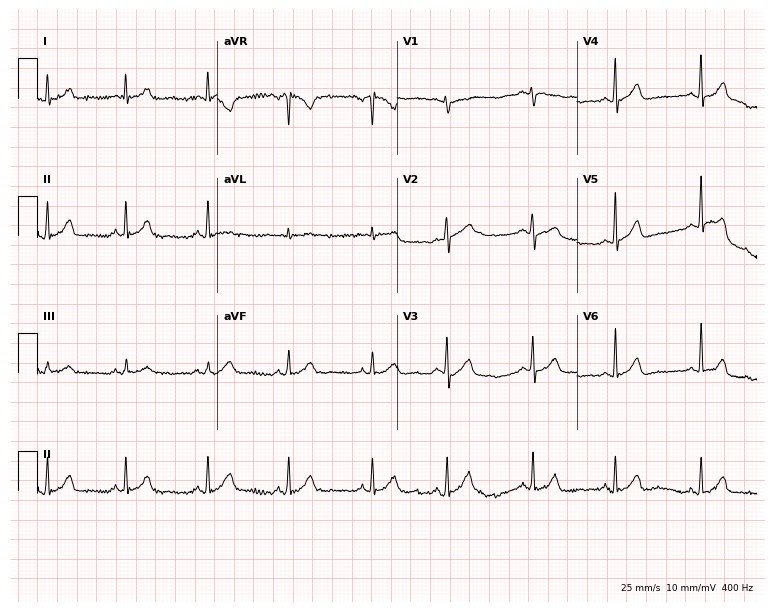
12-lead ECG from a female patient, 19 years old. Recorded interpretation: within normal limits.